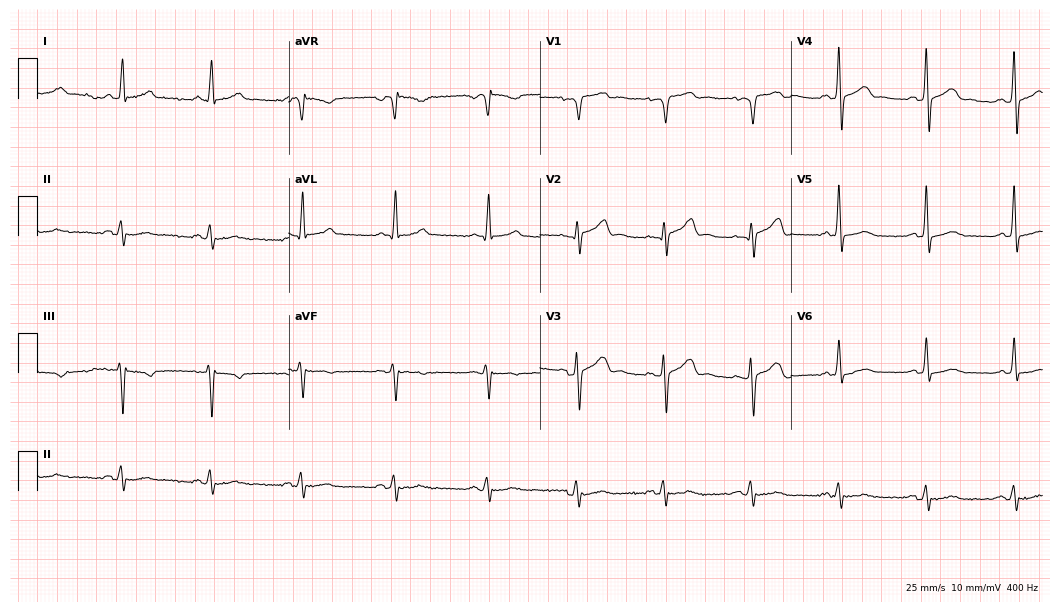
Electrocardiogram, a male patient, 62 years old. Of the six screened findings (first-degree AV block, right bundle branch block (RBBB), left bundle branch block (LBBB), sinus bradycardia, atrial fibrillation (AF), sinus tachycardia), none is recorded. Findings outside these six are not listed.